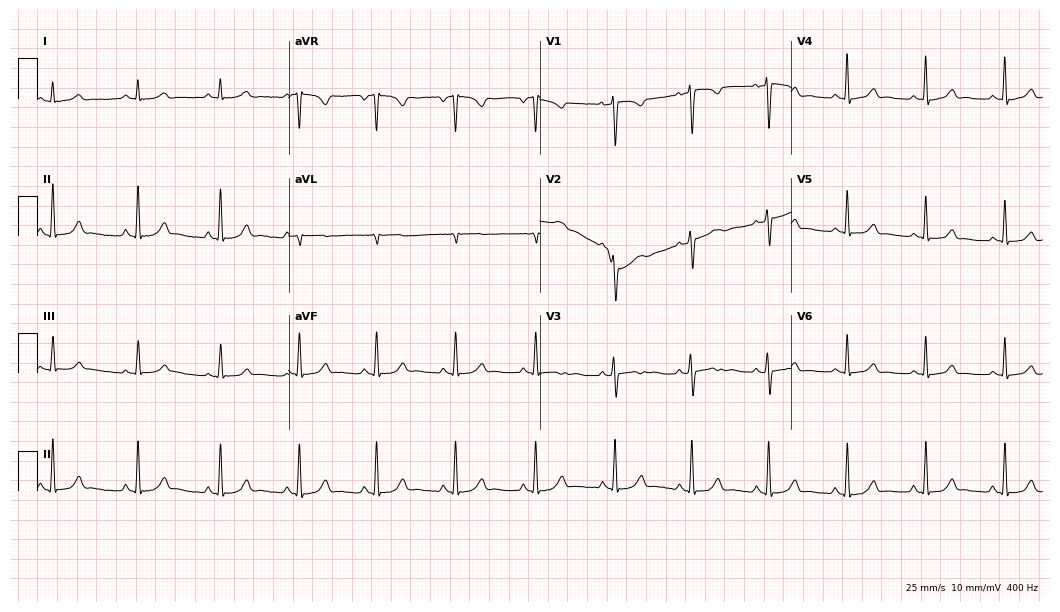
ECG (10.2-second recording at 400 Hz) — a 31-year-old female. Labelled as a normal ECG.